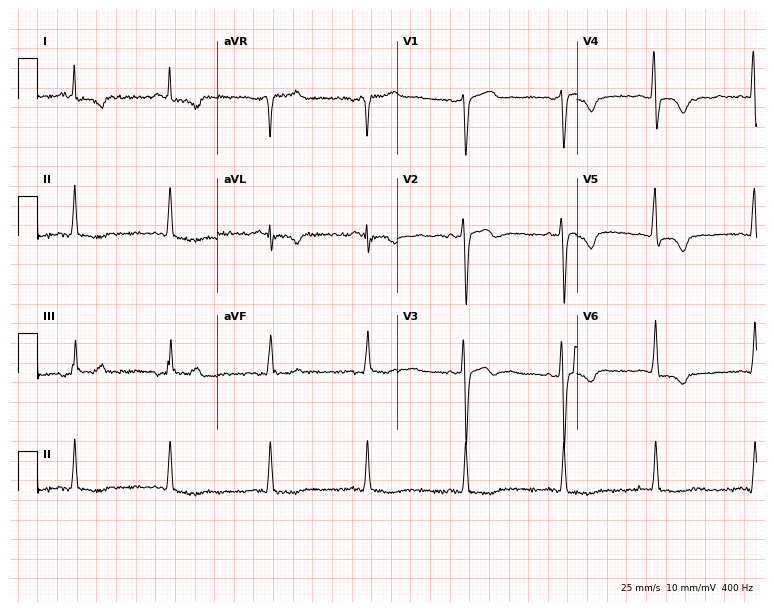
ECG (7.3-second recording at 400 Hz) — a female patient, 59 years old. Screened for six findings — first-degree AV block, right bundle branch block, left bundle branch block, sinus bradycardia, atrial fibrillation, sinus tachycardia — none is recorded. Other findings, if any, are not listed.